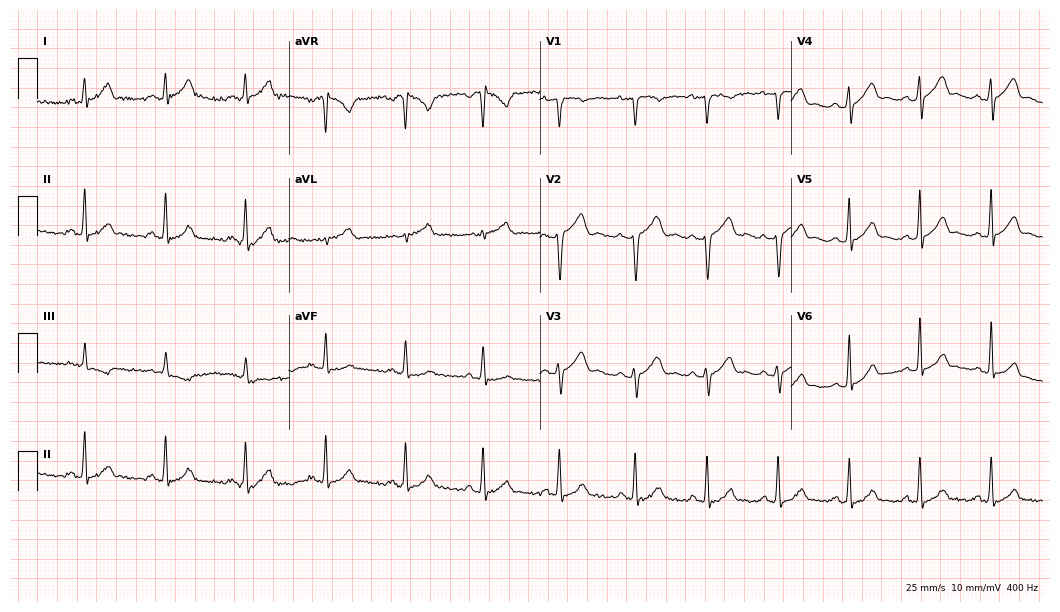
12-lead ECG from a male patient, 18 years old (10.2-second recording at 400 Hz). Recorded interpretation: within normal limits.